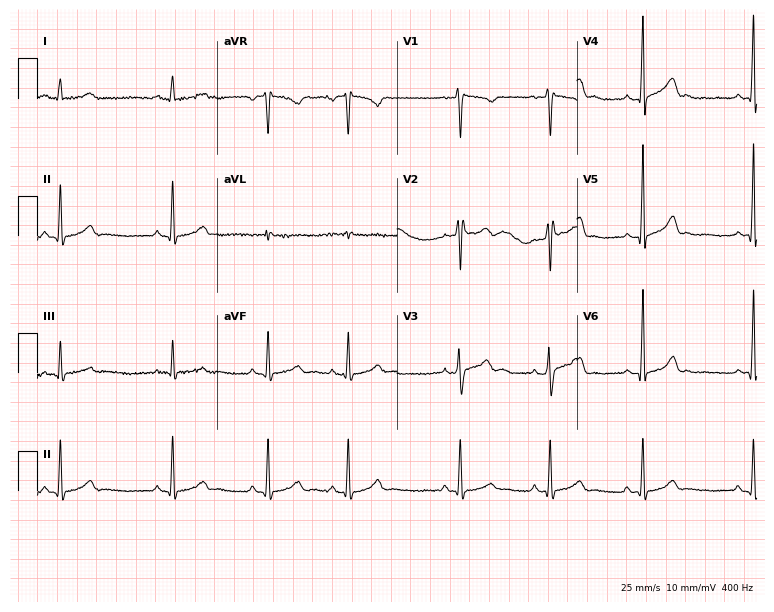
ECG — a man, 23 years old. Screened for six findings — first-degree AV block, right bundle branch block (RBBB), left bundle branch block (LBBB), sinus bradycardia, atrial fibrillation (AF), sinus tachycardia — none is recorded. Other findings, if any, are not listed.